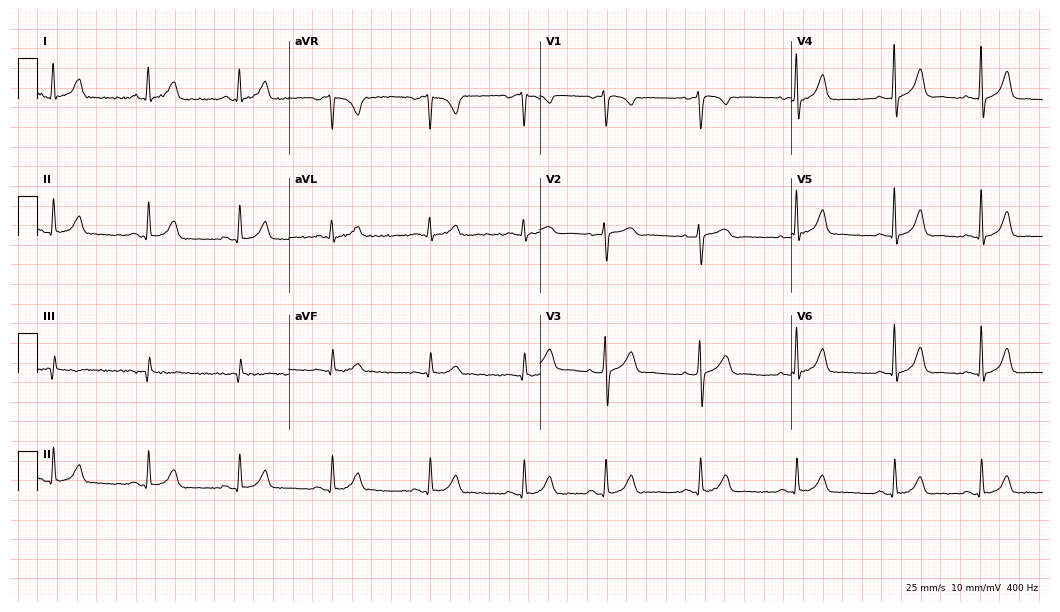
Standard 12-lead ECG recorded from a 32-year-old female. Read as a normal ECG.